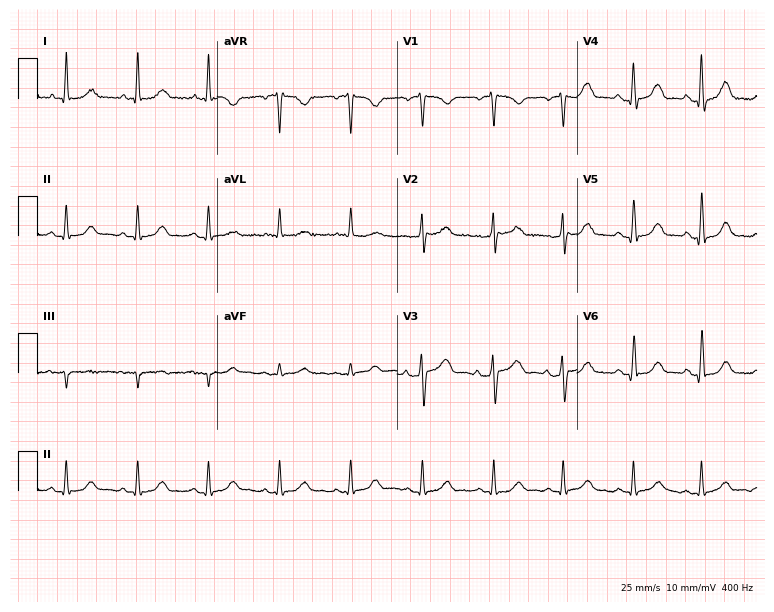
Resting 12-lead electrocardiogram. Patient: a woman, 74 years old. Read as a normal ECG.